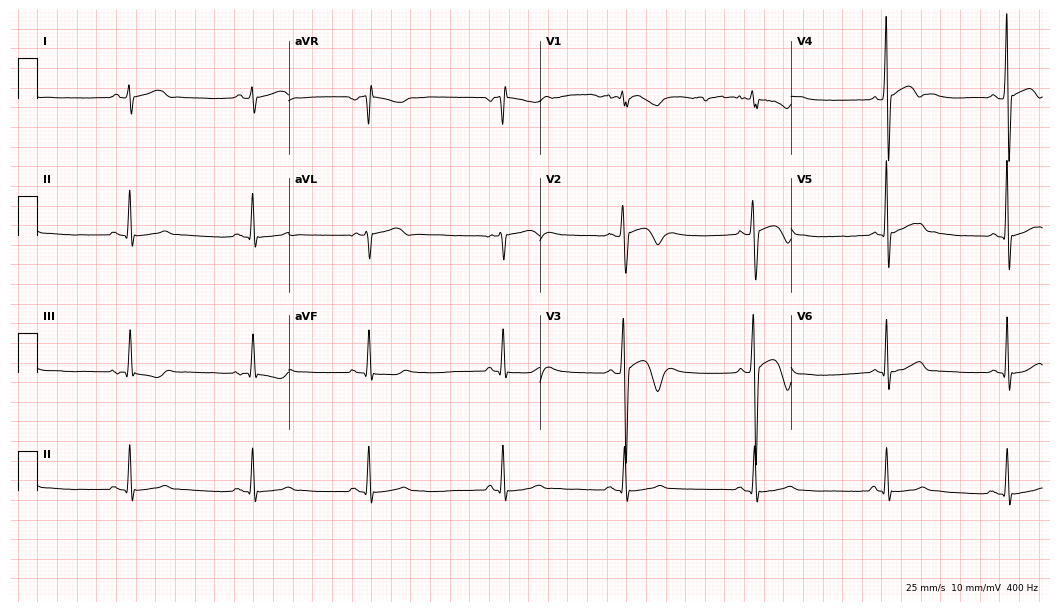
Electrocardiogram, a 17-year-old man. Overall reading on record: normal ECG.